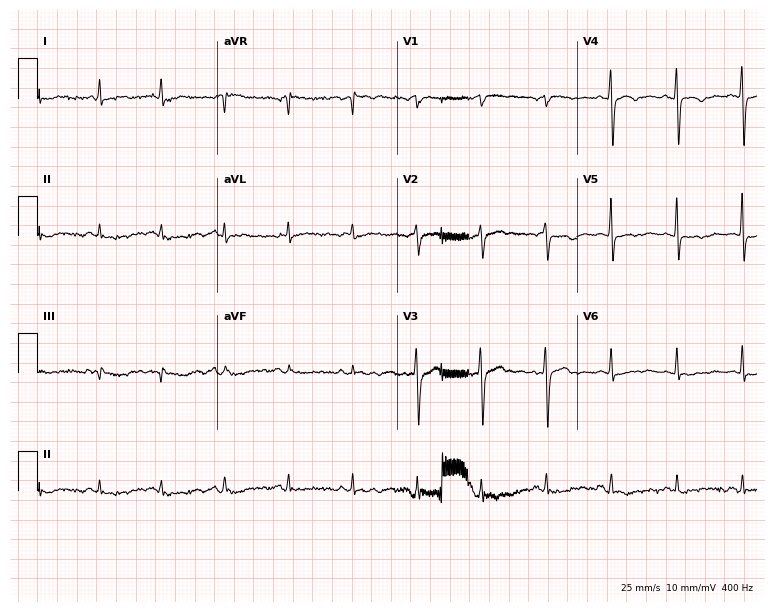
Standard 12-lead ECG recorded from a female, 64 years old (7.3-second recording at 400 Hz). None of these six findings is recorded: first-degree AV block, right bundle branch block, left bundle branch block, sinus bradycardia, atrial fibrillation, sinus tachycardia. Only these six findings were labelled.